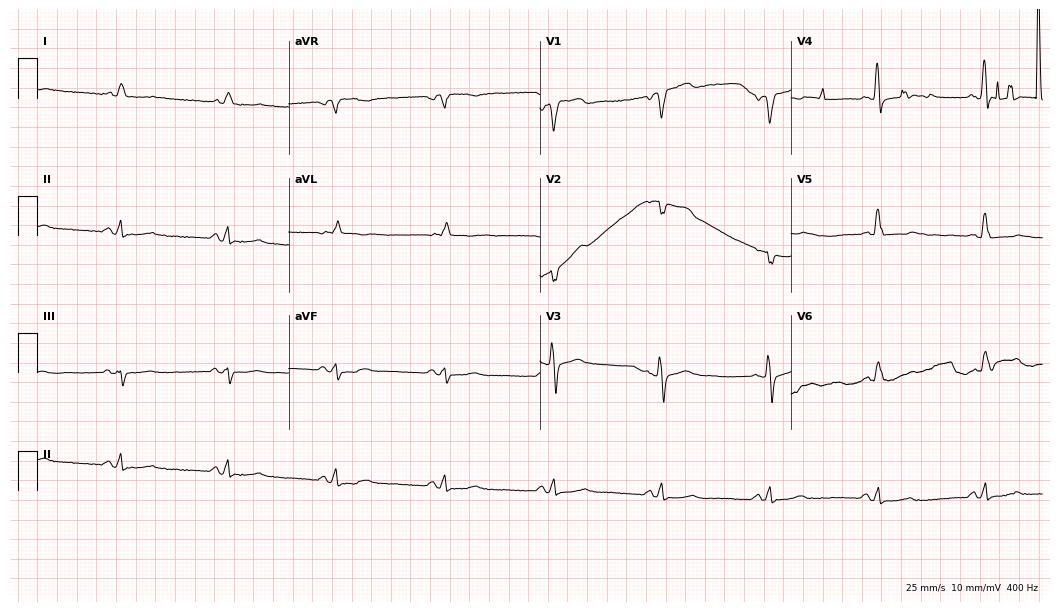
Resting 12-lead electrocardiogram (10.2-second recording at 400 Hz). Patient: a male, 66 years old. None of these six findings is recorded: first-degree AV block, right bundle branch block, left bundle branch block, sinus bradycardia, atrial fibrillation, sinus tachycardia. Other findings, if any, are not listed.